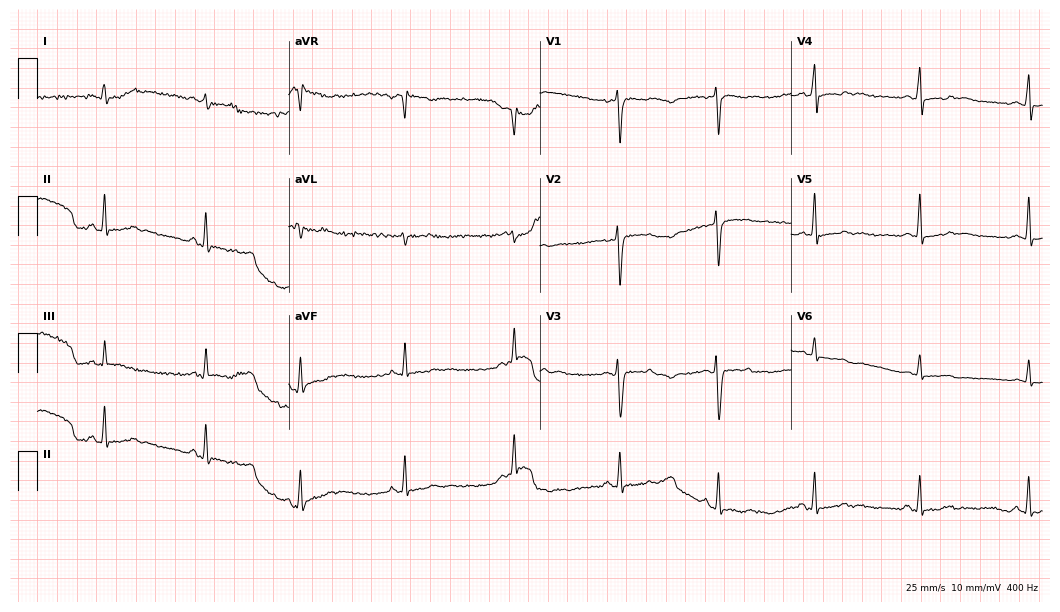
Standard 12-lead ECG recorded from a female patient, 38 years old. None of these six findings is recorded: first-degree AV block, right bundle branch block (RBBB), left bundle branch block (LBBB), sinus bradycardia, atrial fibrillation (AF), sinus tachycardia.